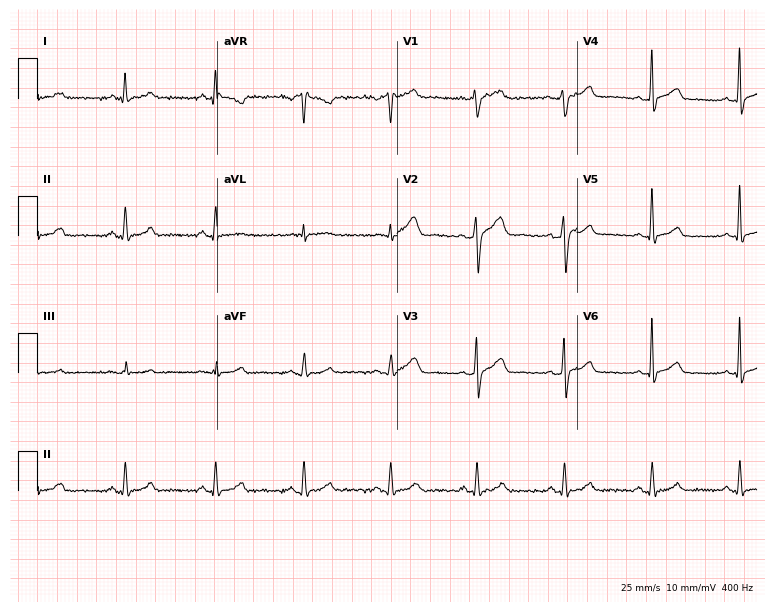
12-lead ECG (7.3-second recording at 400 Hz) from a 49-year-old male patient. Screened for six findings — first-degree AV block, right bundle branch block, left bundle branch block, sinus bradycardia, atrial fibrillation, sinus tachycardia — none is recorded. Only these six findings were labelled.